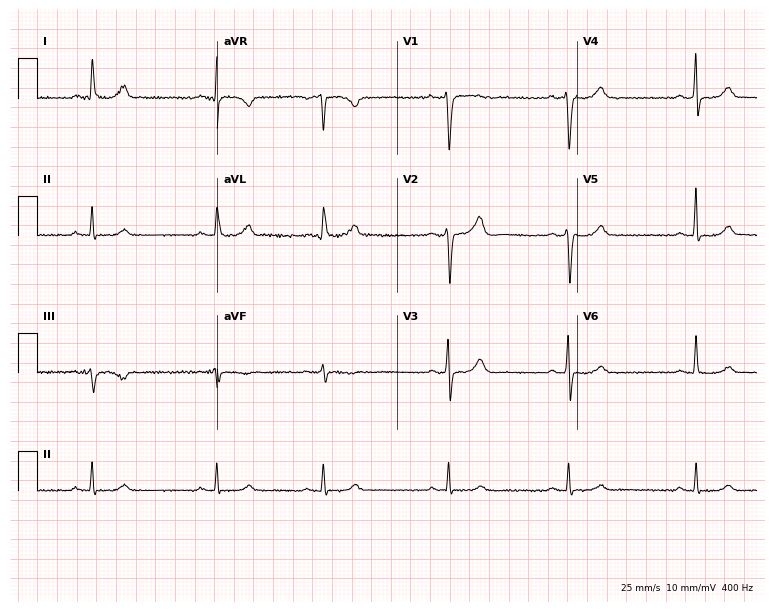
Standard 12-lead ECG recorded from a male patient, 58 years old (7.3-second recording at 400 Hz). Read as a normal ECG.